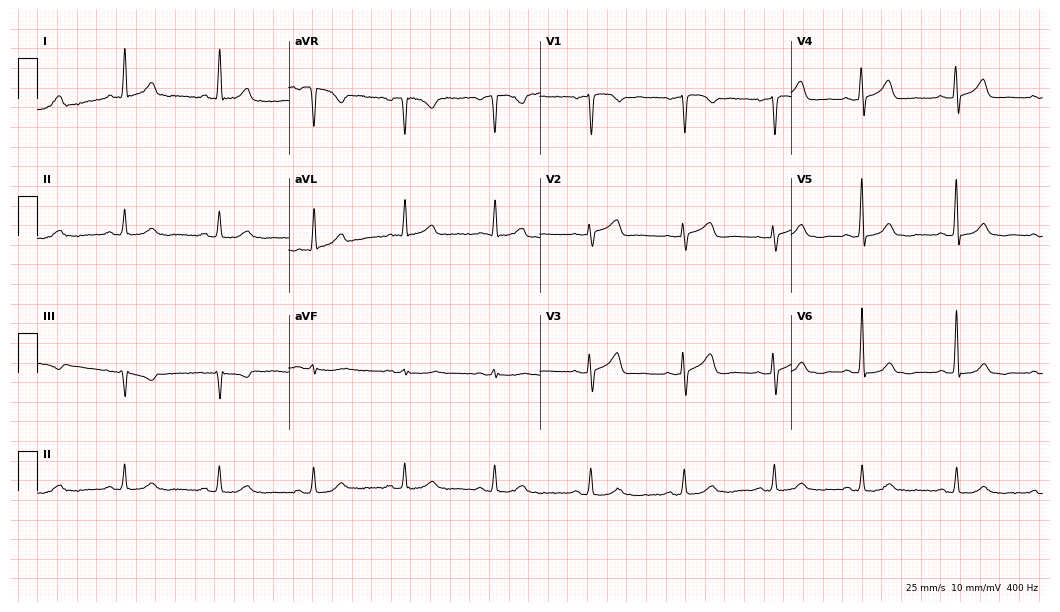
12-lead ECG from a female, 67 years old. No first-degree AV block, right bundle branch block (RBBB), left bundle branch block (LBBB), sinus bradycardia, atrial fibrillation (AF) or sinus tachycardia recorded for this tracing.